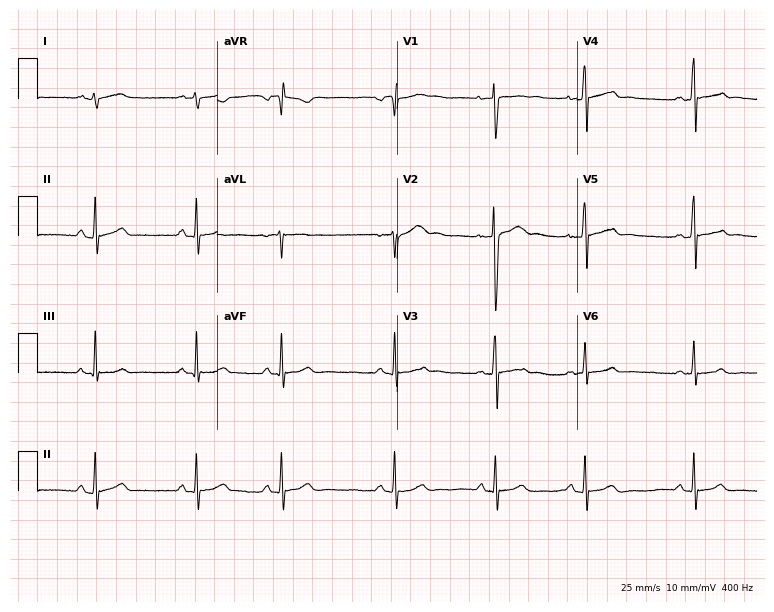
12-lead ECG from a 22-year-old male. Recorded interpretation: within normal limits.